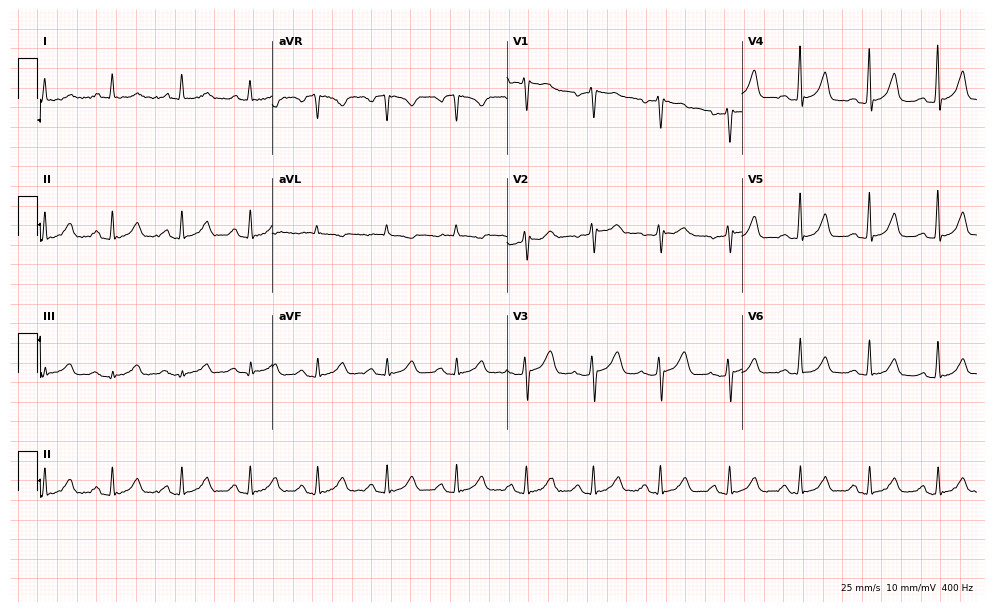
ECG (9.6-second recording at 400 Hz) — a woman, 60 years old. Labelled as a normal ECG.